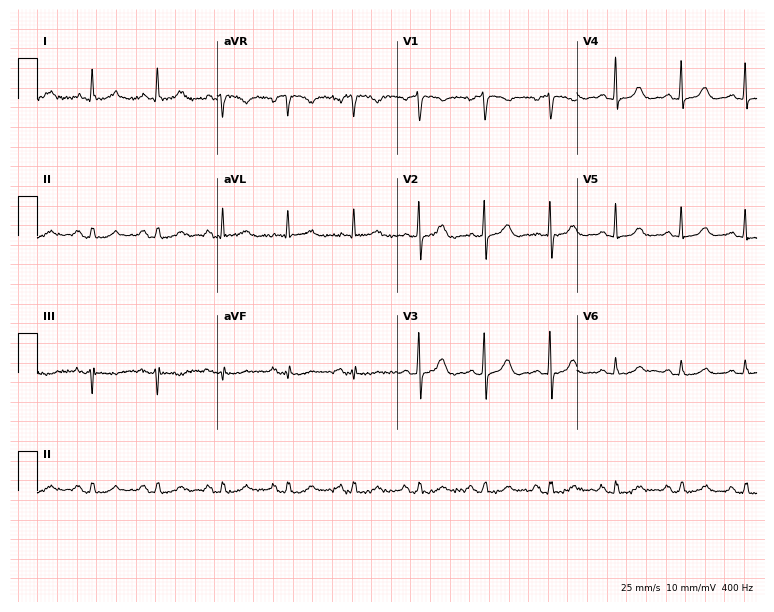
ECG — a female, 82 years old. Screened for six findings — first-degree AV block, right bundle branch block (RBBB), left bundle branch block (LBBB), sinus bradycardia, atrial fibrillation (AF), sinus tachycardia — none is recorded. Other findings, if any, are not listed.